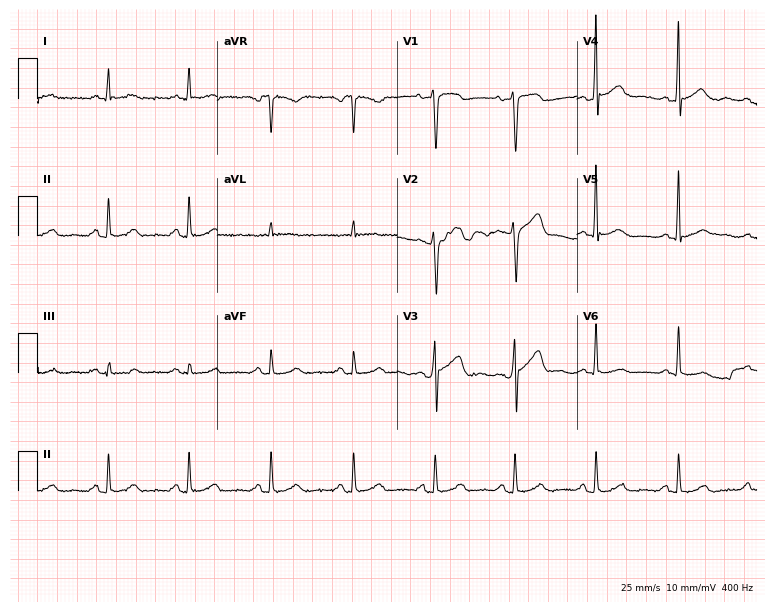
Resting 12-lead electrocardiogram. Patient: a 69-year-old male. None of these six findings is recorded: first-degree AV block, right bundle branch block, left bundle branch block, sinus bradycardia, atrial fibrillation, sinus tachycardia. Findings outside these six are not listed.